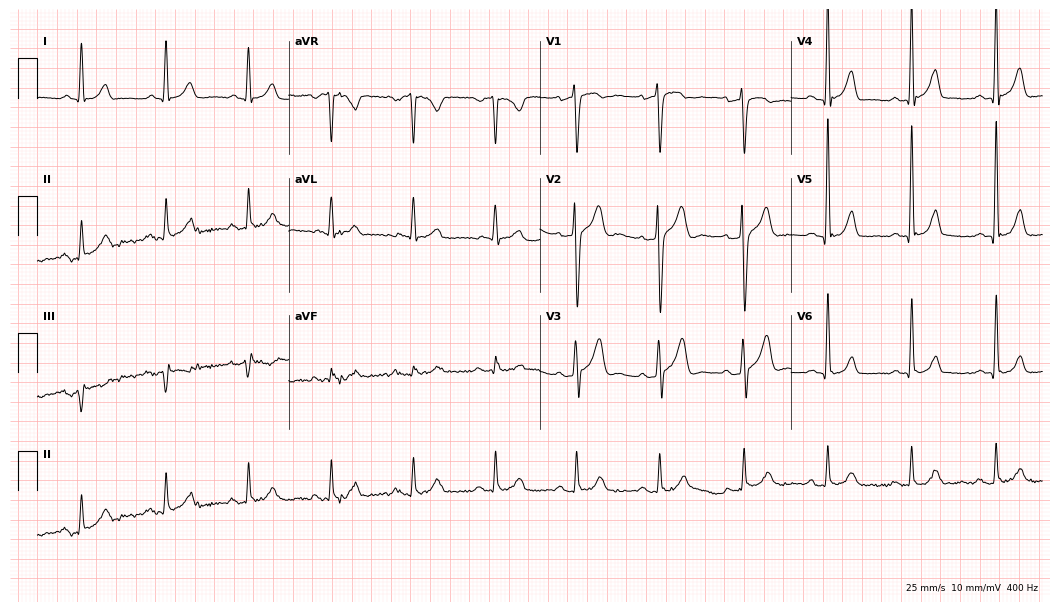
Electrocardiogram, a 59-year-old male patient. Overall reading on record: normal ECG.